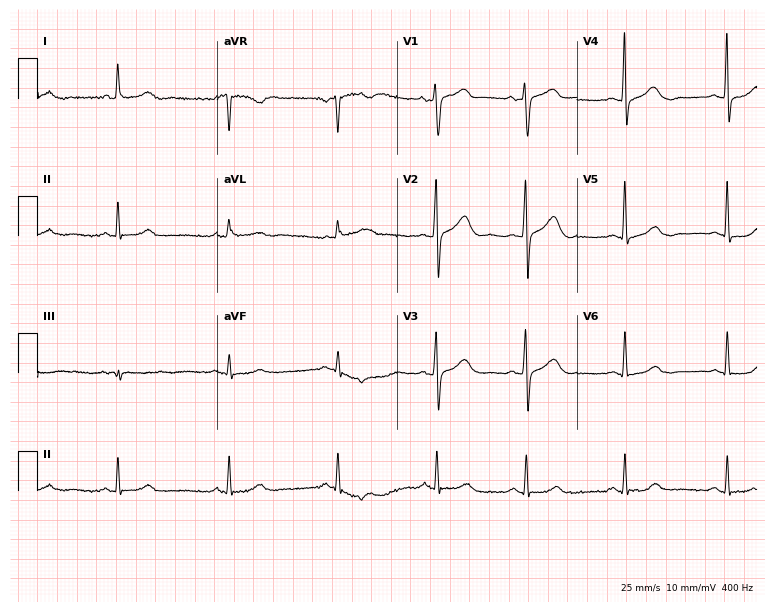
12-lead ECG from a 70-year-old woman (7.3-second recording at 400 Hz). No first-degree AV block, right bundle branch block, left bundle branch block, sinus bradycardia, atrial fibrillation or sinus tachycardia recorded for this tracing.